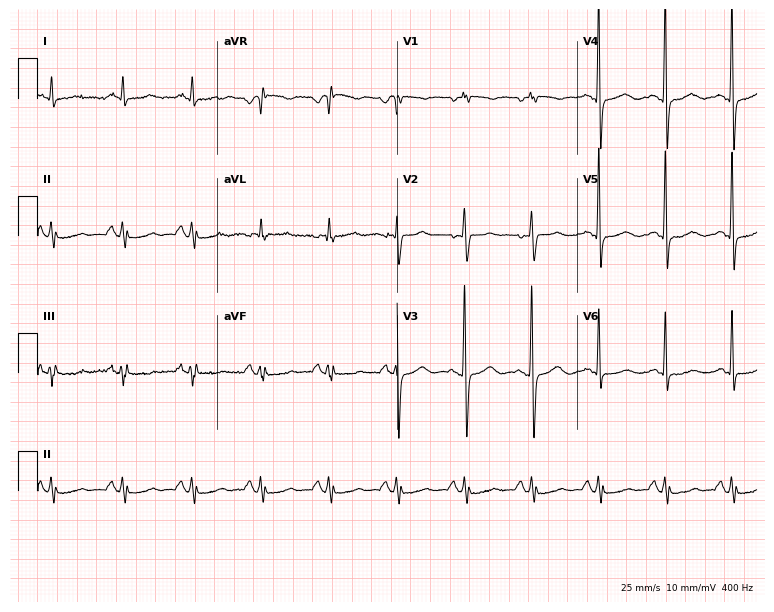
12-lead ECG from a 70-year-old male. Screened for six findings — first-degree AV block, right bundle branch block, left bundle branch block, sinus bradycardia, atrial fibrillation, sinus tachycardia — none is recorded. Other findings, if any, are not listed.